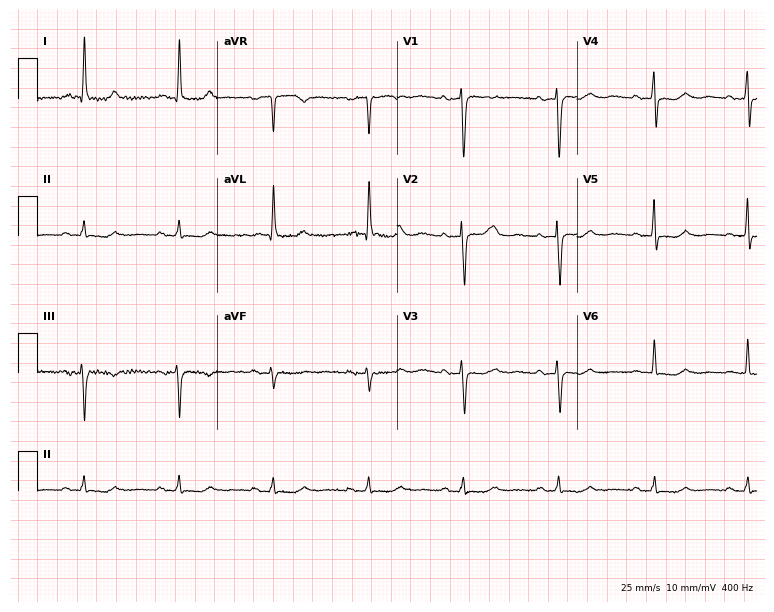
12-lead ECG from a 78-year-old woman (7.3-second recording at 400 Hz). No first-degree AV block, right bundle branch block, left bundle branch block, sinus bradycardia, atrial fibrillation or sinus tachycardia recorded for this tracing. Only these six findings were labelled.